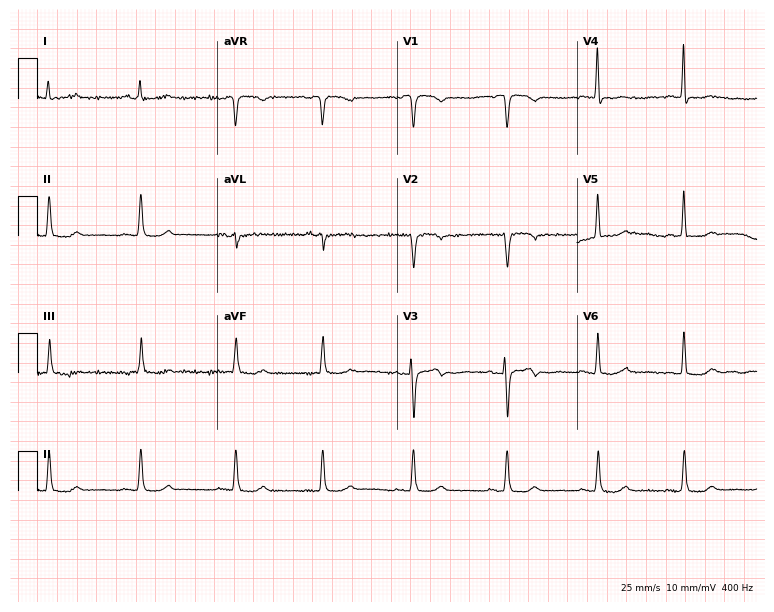
12-lead ECG from a 70-year-old female. No first-degree AV block, right bundle branch block (RBBB), left bundle branch block (LBBB), sinus bradycardia, atrial fibrillation (AF) or sinus tachycardia recorded for this tracing.